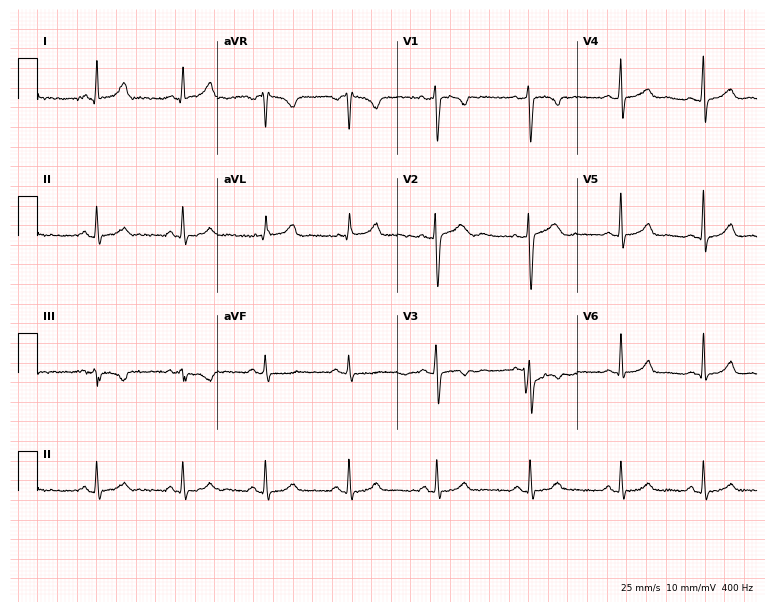
12-lead ECG from a 32-year-old female. Screened for six findings — first-degree AV block, right bundle branch block, left bundle branch block, sinus bradycardia, atrial fibrillation, sinus tachycardia — none is recorded.